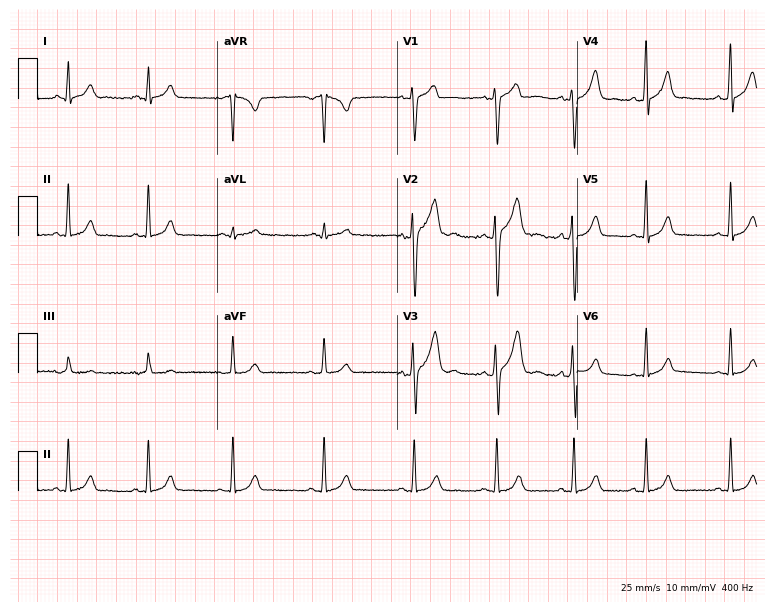
Electrocardiogram (7.3-second recording at 400 Hz), a man, 17 years old. Of the six screened findings (first-degree AV block, right bundle branch block (RBBB), left bundle branch block (LBBB), sinus bradycardia, atrial fibrillation (AF), sinus tachycardia), none is recorded.